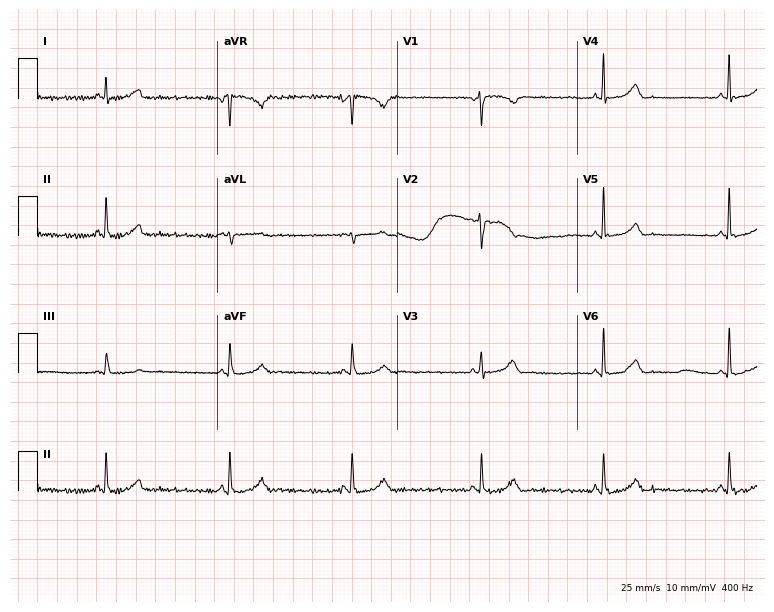
Resting 12-lead electrocardiogram (7.3-second recording at 400 Hz). Patient: a 43-year-old male. Read as a normal ECG.